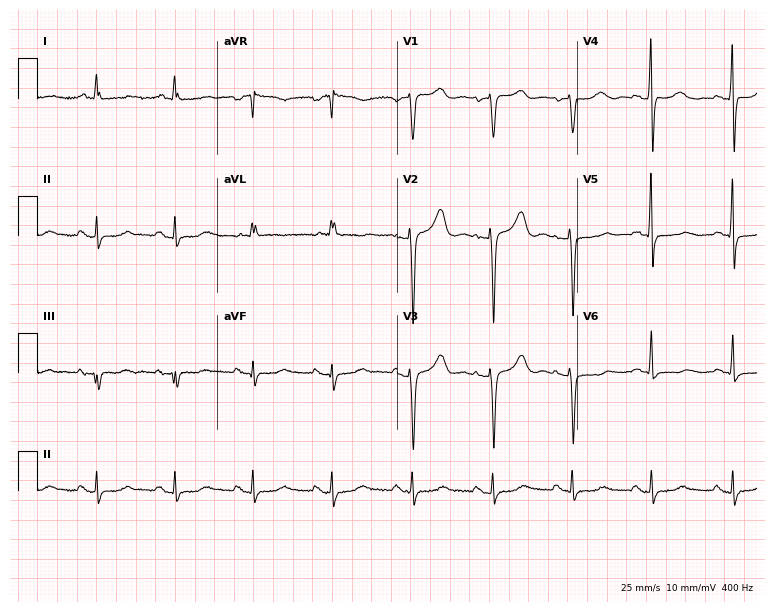
12-lead ECG from a 74-year-old female patient. Screened for six findings — first-degree AV block, right bundle branch block, left bundle branch block, sinus bradycardia, atrial fibrillation, sinus tachycardia — none is recorded.